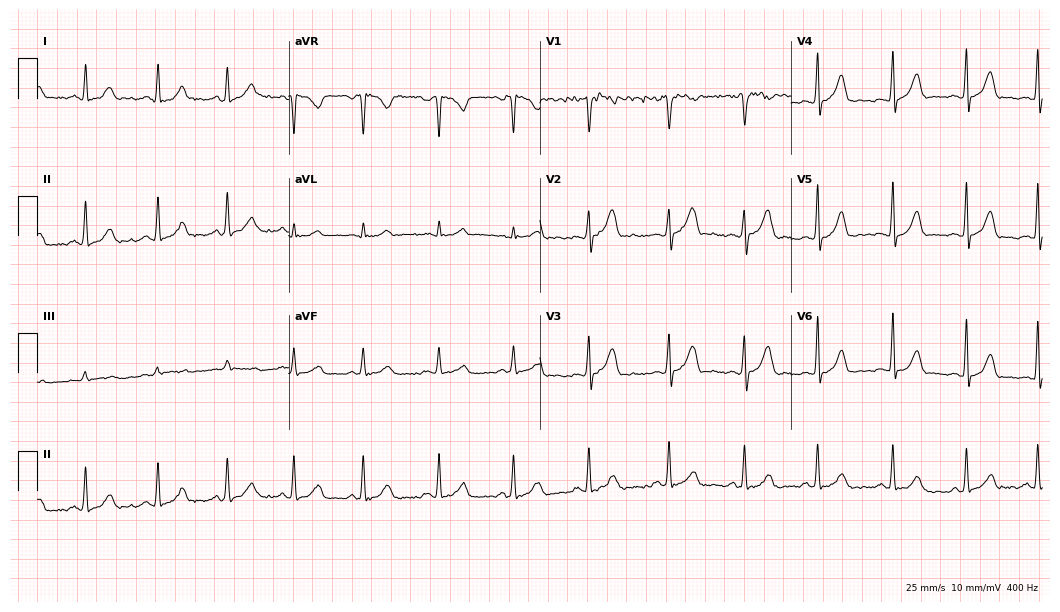
ECG (10.2-second recording at 400 Hz) — a woman, 29 years old. Labelled as a normal ECG.